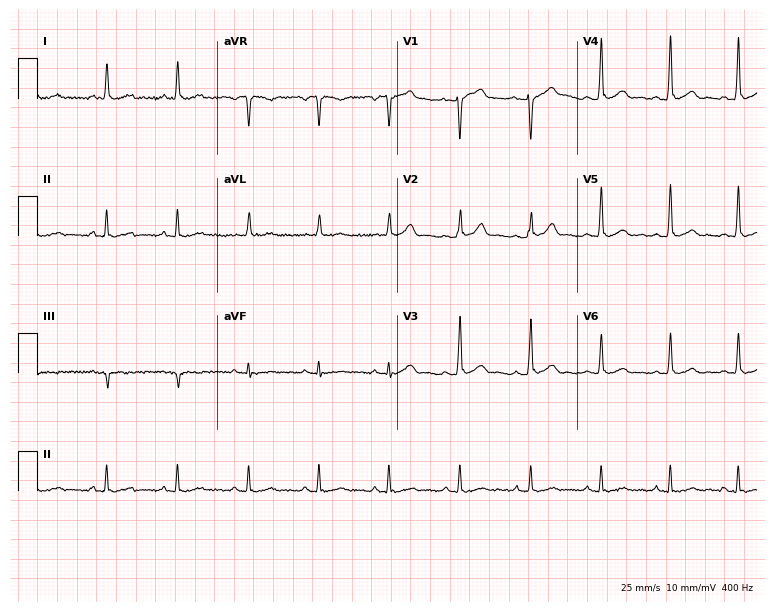
Standard 12-lead ECG recorded from a 46-year-old man (7.3-second recording at 400 Hz). None of these six findings is recorded: first-degree AV block, right bundle branch block, left bundle branch block, sinus bradycardia, atrial fibrillation, sinus tachycardia.